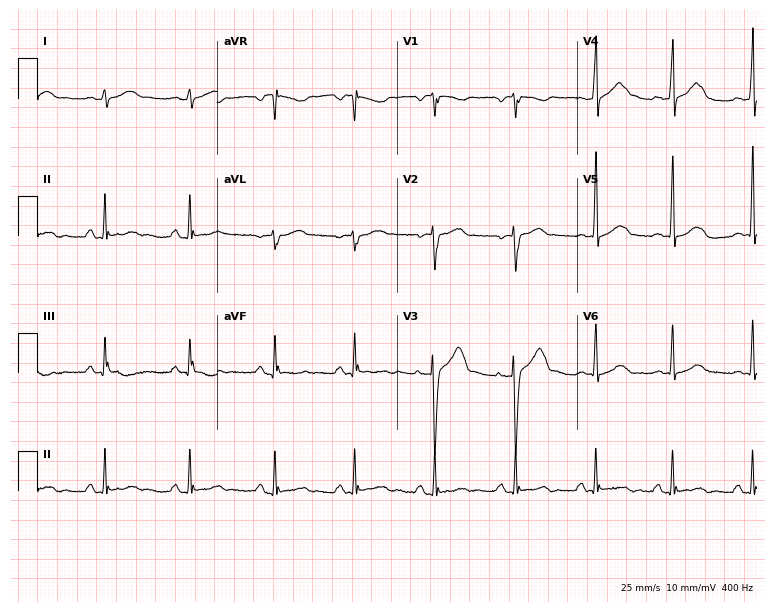
Resting 12-lead electrocardiogram (7.3-second recording at 400 Hz). Patient: a man, 30 years old. Read as a normal ECG.